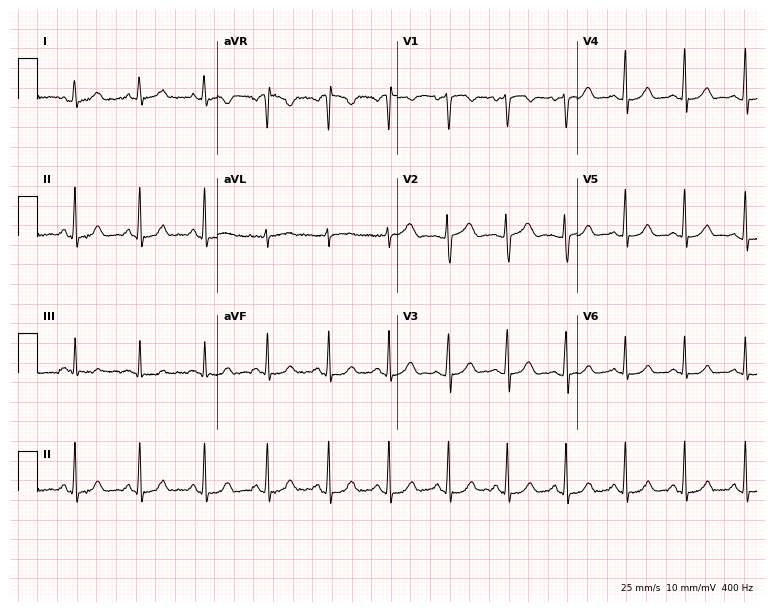
Electrocardiogram (7.3-second recording at 400 Hz), a female patient, 49 years old. Overall reading on record: normal ECG.